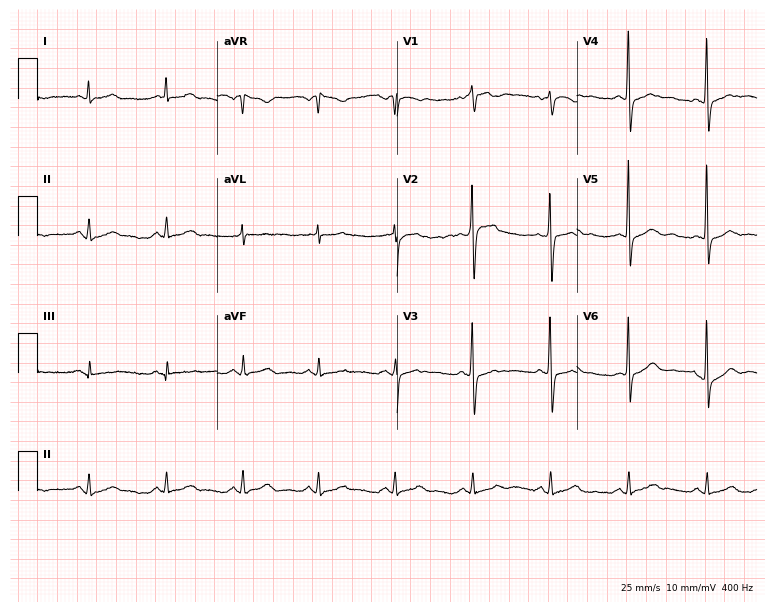
12-lead ECG from a 67-year-old man. Labelled as a normal ECG.